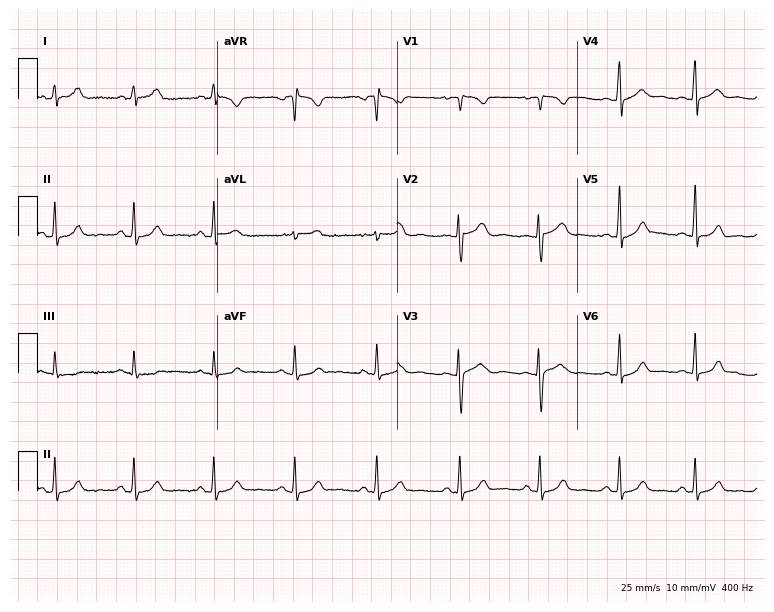
Standard 12-lead ECG recorded from a female patient, 18 years old (7.3-second recording at 400 Hz). None of these six findings is recorded: first-degree AV block, right bundle branch block (RBBB), left bundle branch block (LBBB), sinus bradycardia, atrial fibrillation (AF), sinus tachycardia. Findings outside these six are not listed.